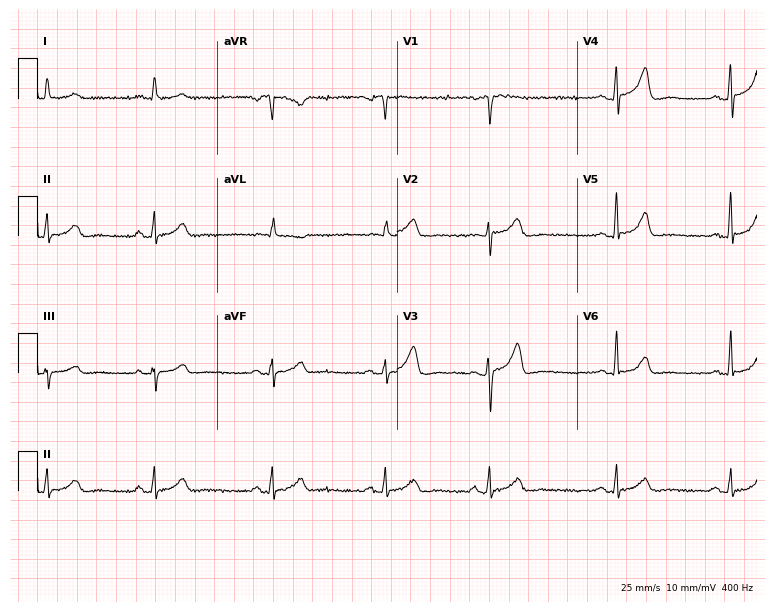
Electrocardiogram, a female, 52 years old. Of the six screened findings (first-degree AV block, right bundle branch block (RBBB), left bundle branch block (LBBB), sinus bradycardia, atrial fibrillation (AF), sinus tachycardia), none is recorded. Other findings, if any, are not listed.